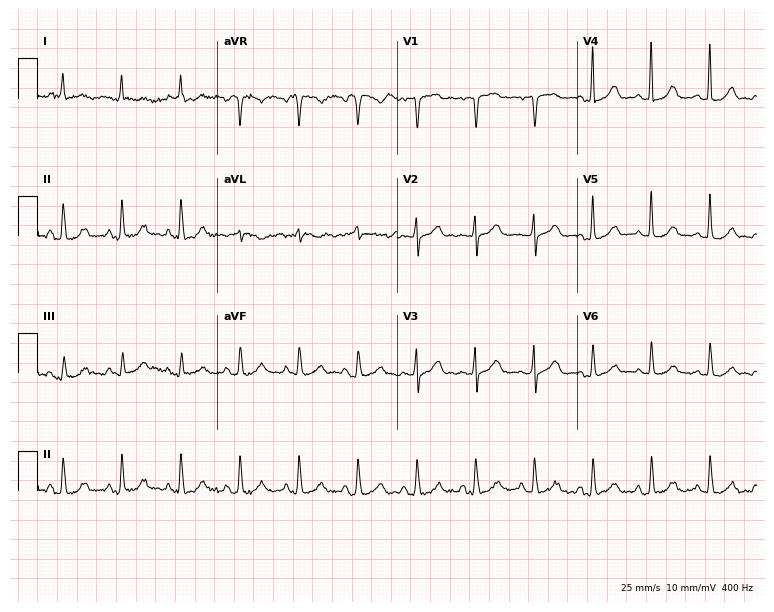
Resting 12-lead electrocardiogram (7.3-second recording at 400 Hz). Patient: a female, 64 years old. Read as a normal ECG.